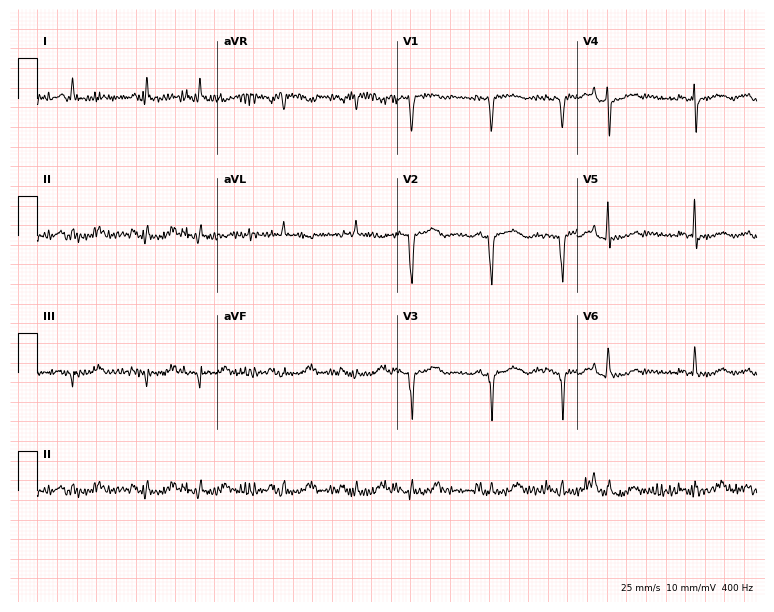
Standard 12-lead ECG recorded from a female patient, 83 years old (7.3-second recording at 400 Hz). None of these six findings is recorded: first-degree AV block, right bundle branch block, left bundle branch block, sinus bradycardia, atrial fibrillation, sinus tachycardia. Other findings, if any, are not listed.